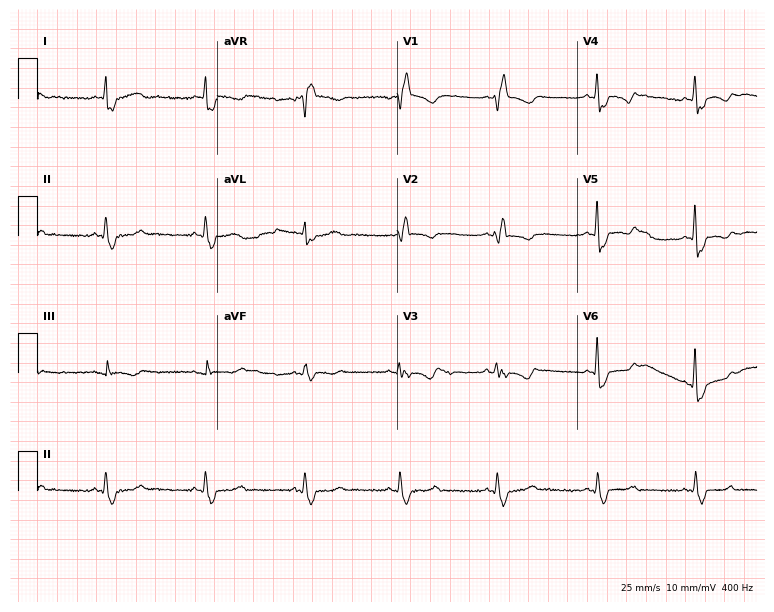
12-lead ECG from a male patient, 60 years old. Findings include right bundle branch block.